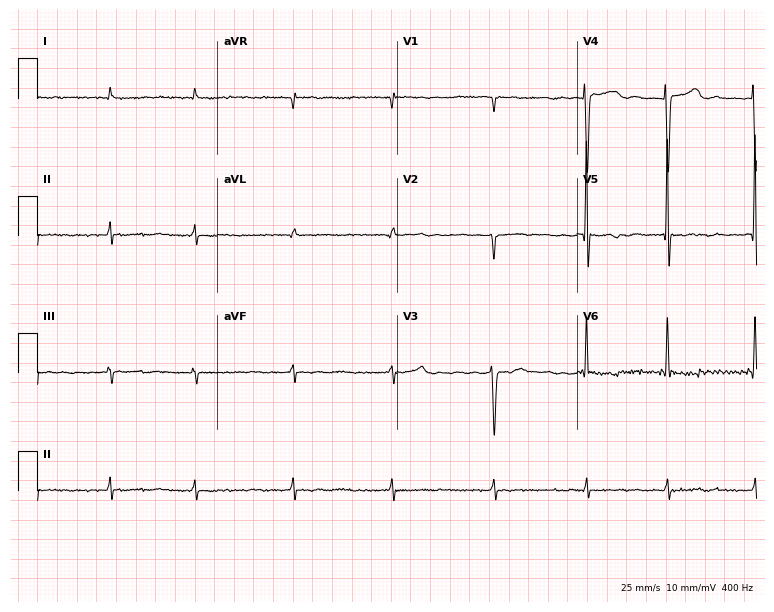
Resting 12-lead electrocardiogram (7.3-second recording at 400 Hz). Patient: an 81-year-old female. None of these six findings is recorded: first-degree AV block, right bundle branch block, left bundle branch block, sinus bradycardia, atrial fibrillation, sinus tachycardia.